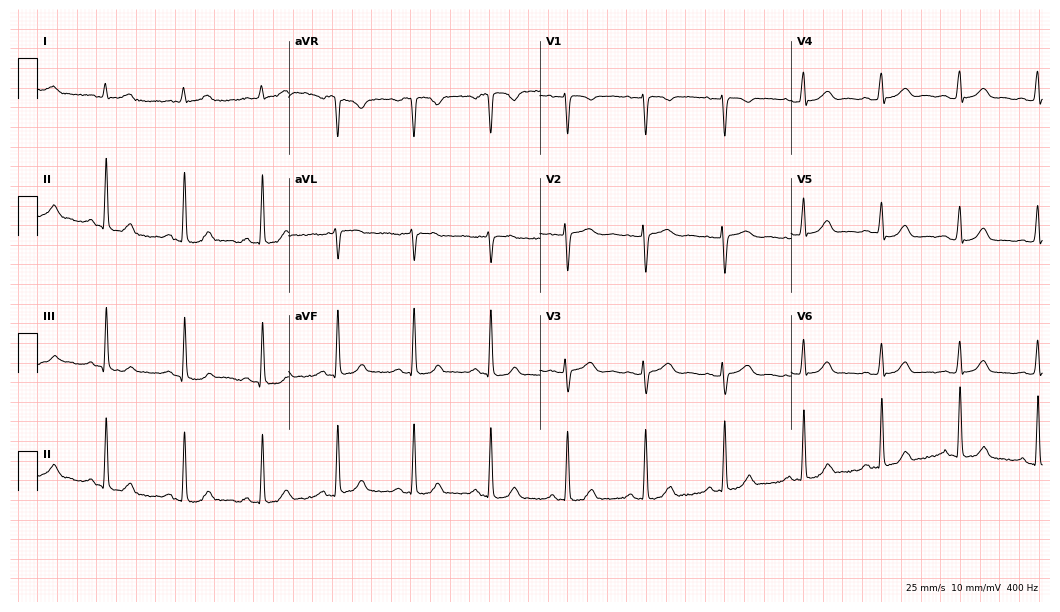
ECG (10.2-second recording at 400 Hz) — a 33-year-old female. Screened for six findings — first-degree AV block, right bundle branch block, left bundle branch block, sinus bradycardia, atrial fibrillation, sinus tachycardia — none is recorded. Other findings, if any, are not listed.